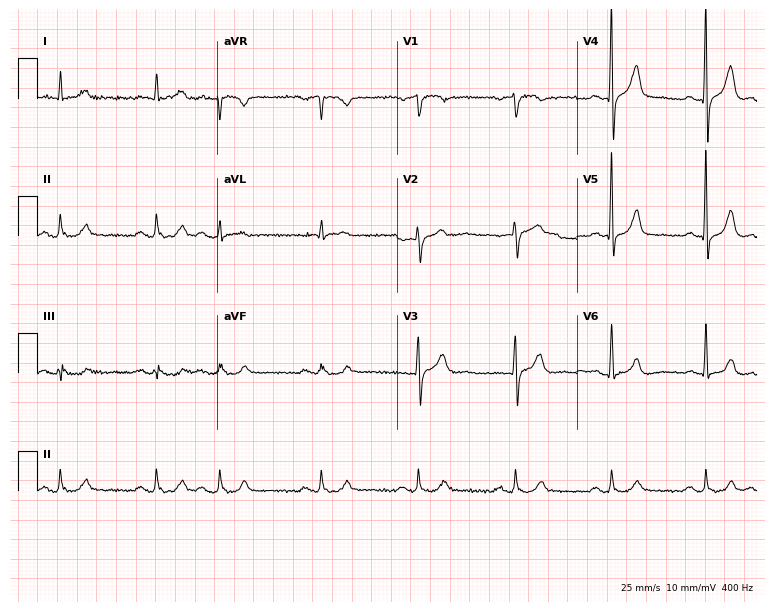
Resting 12-lead electrocardiogram. Patient: a male, 81 years old. None of these six findings is recorded: first-degree AV block, right bundle branch block, left bundle branch block, sinus bradycardia, atrial fibrillation, sinus tachycardia.